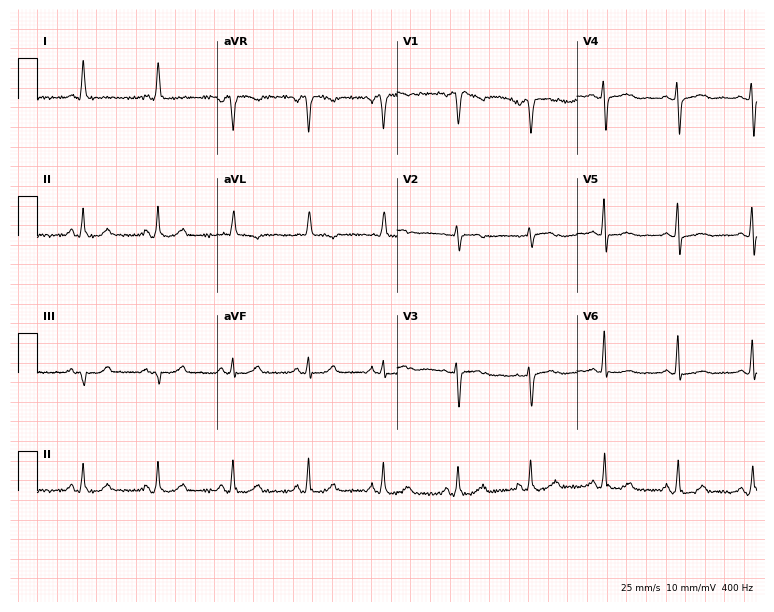
Electrocardiogram (7.3-second recording at 400 Hz), a 72-year-old female. Of the six screened findings (first-degree AV block, right bundle branch block, left bundle branch block, sinus bradycardia, atrial fibrillation, sinus tachycardia), none is recorded.